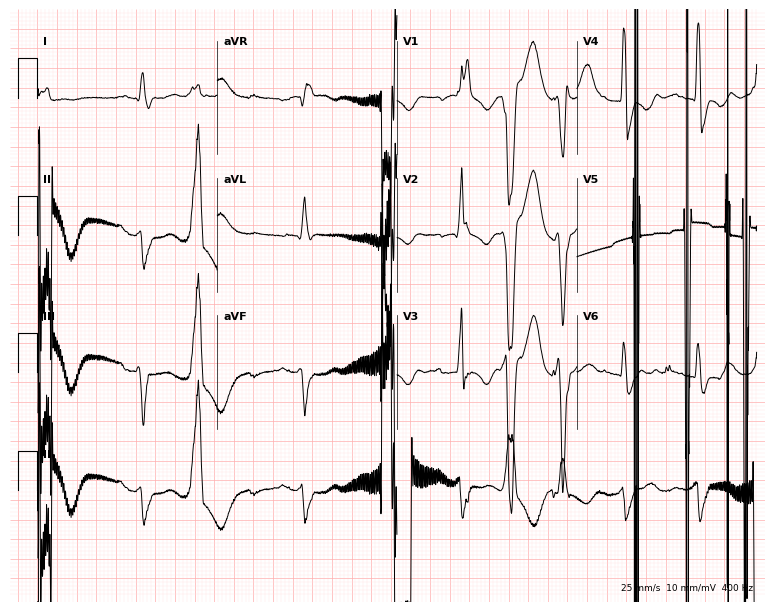
Electrocardiogram (7.3-second recording at 400 Hz), an 85-year-old man. Of the six screened findings (first-degree AV block, right bundle branch block (RBBB), left bundle branch block (LBBB), sinus bradycardia, atrial fibrillation (AF), sinus tachycardia), none is recorded.